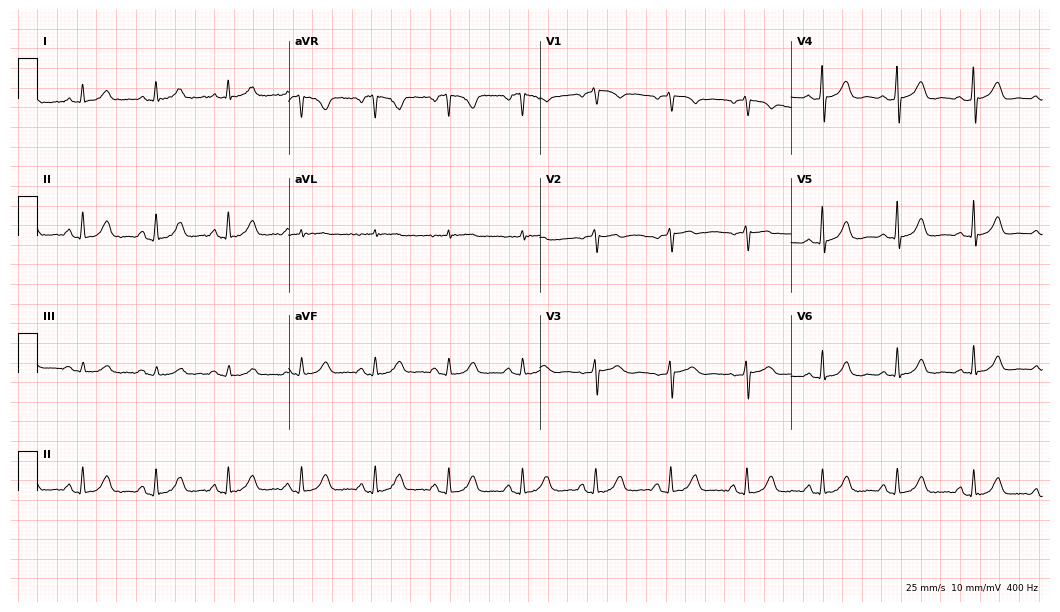
Electrocardiogram (10.2-second recording at 400 Hz), a 68-year-old female patient. Overall reading on record: normal ECG.